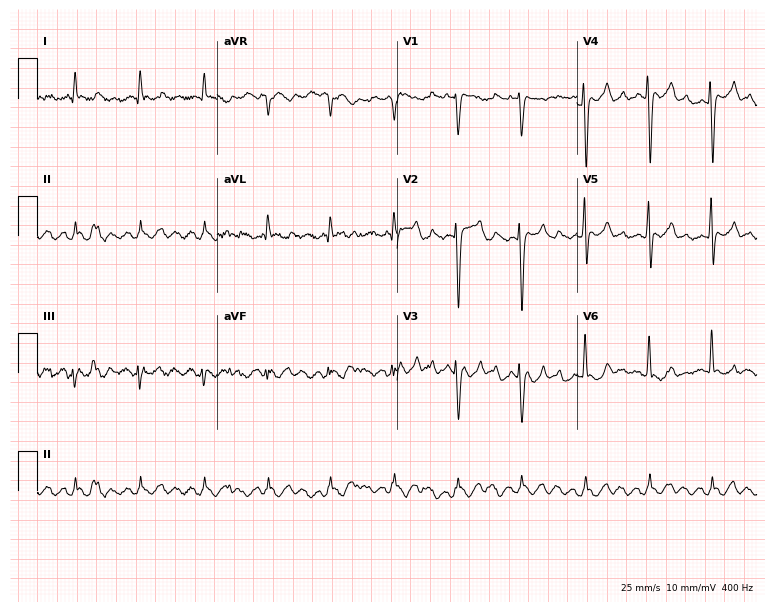
12-lead ECG (7.3-second recording at 400 Hz) from a 71-year-old male patient. Screened for six findings — first-degree AV block, right bundle branch block, left bundle branch block, sinus bradycardia, atrial fibrillation, sinus tachycardia — none is recorded. Only these six findings were labelled.